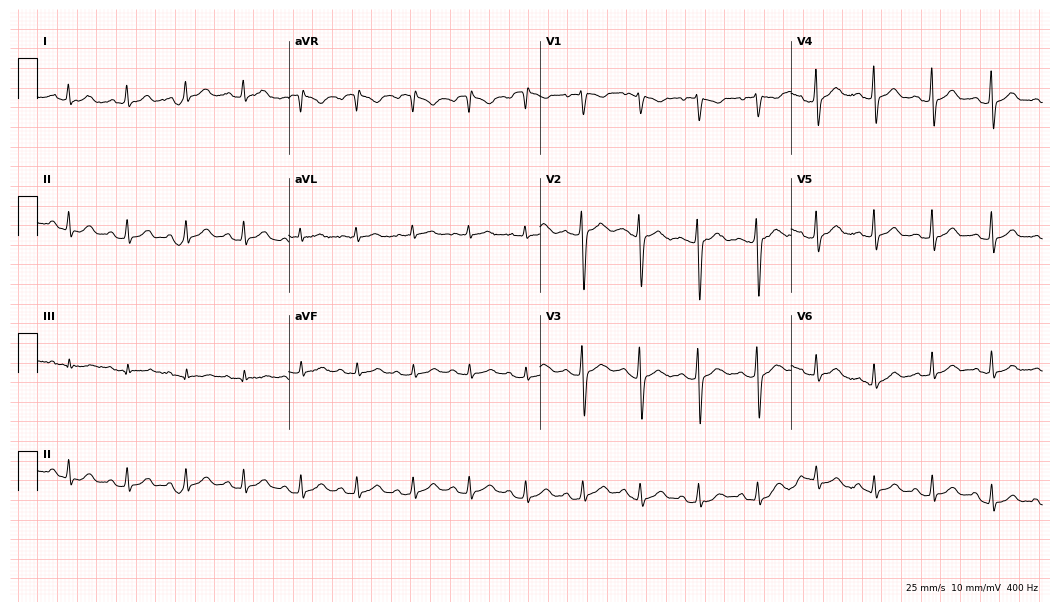
Standard 12-lead ECG recorded from a woman, 26 years old. The tracing shows sinus tachycardia (a sinus rate of 100 beats per minute or more).